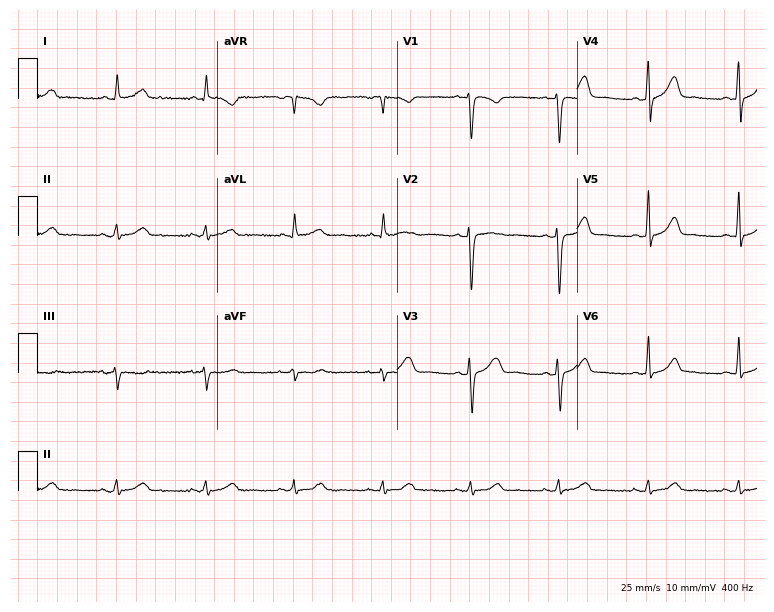
ECG (7.3-second recording at 400 Hz) — a woman, 34 years old. Labelled as a normal ECG.